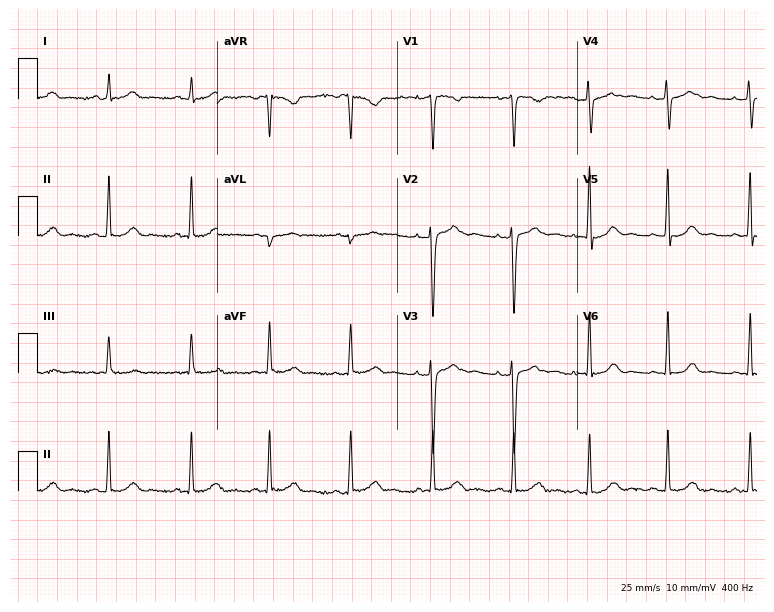
Electrocardiogram (7.3-second recording at 400 Hz), a 32-year-old female patient. Of the six screened findings (first-degree AV block, right bundle branch block, left bundle branch block, sinus bradycardia, atrial fibrillation, sinus tachycardia), none is recorded.